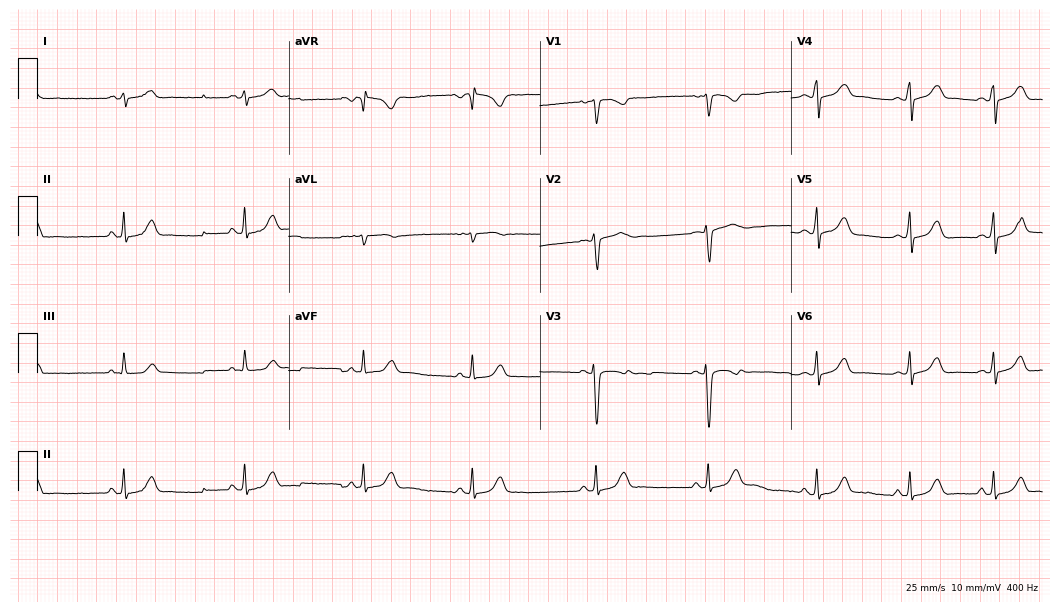
ECG — a 20-year-old female patient. Screened for six findings — first-degree AV block, right bundle branch block, left bundle branch block, sinus bradycardia, atrial fibrillation, sinus tachycardia — none is recorded. Only these six findings were labelled.